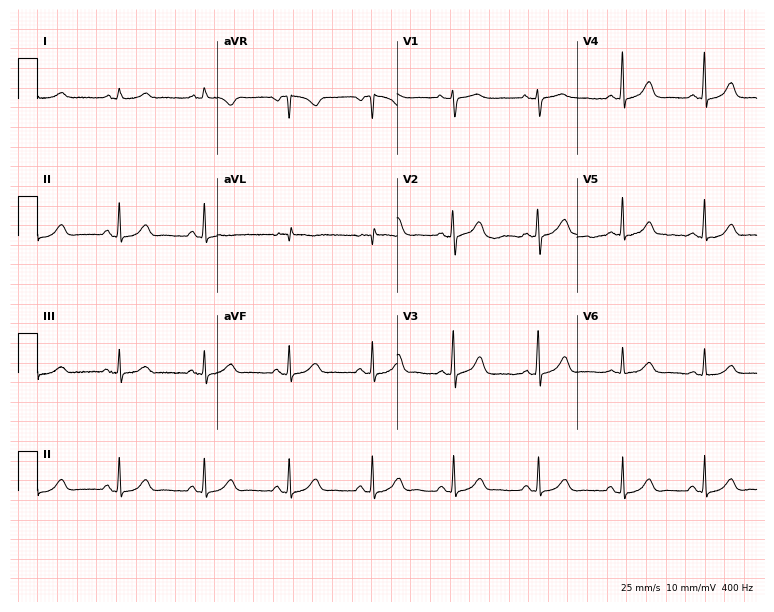
Electrocardiogram (7.3-second recording at 400 Hz), a female, 65 years old. Of the six screened findings (first-degree AV block, right bundle branch block (RBBB), left bundle branch block (LBBB), sinus bradycardia, atrial fibrillation (AF), sinus tachycardia), none is recorded. Other findings, if any, are not listed.